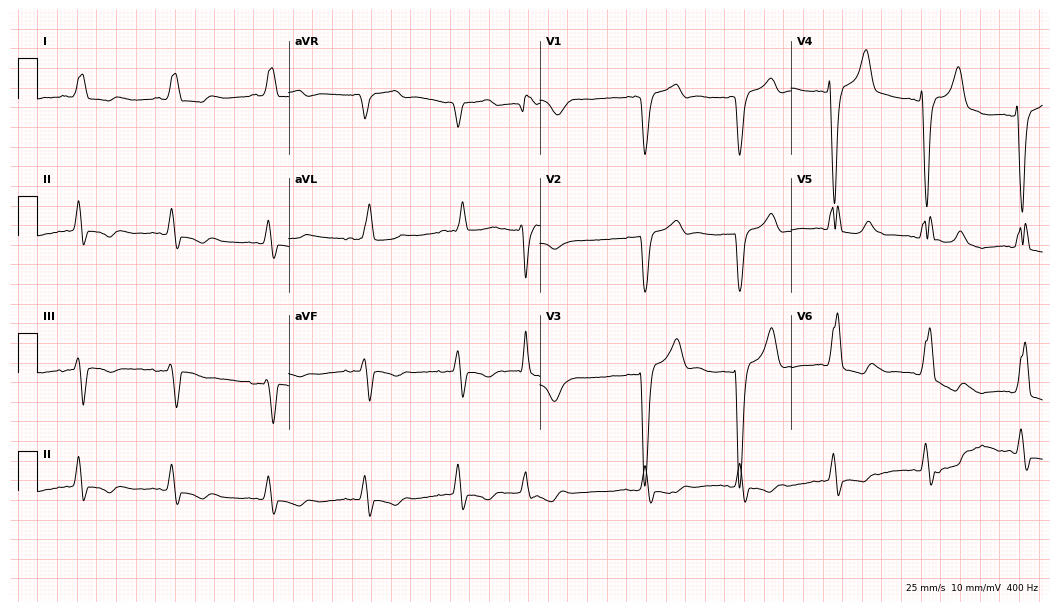
ECG (10.2-second recording at 400 Hz) — a male, 82 years old. Findings include left bundle branch block.